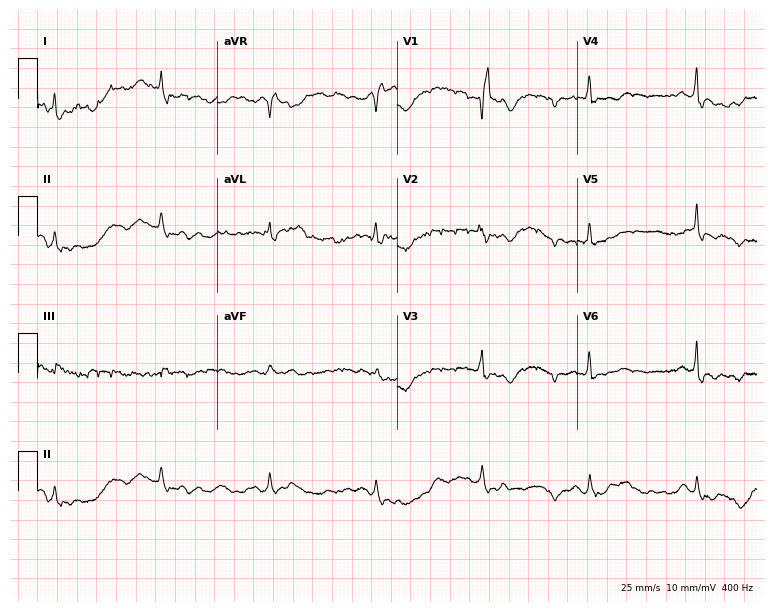
Resting 12-lead electrocardiogram. Patient: a 47-year-old female. None of these six findings is recorded: first-degree AV block, right bundle branch block, left bundle branch block, sinus bradycardia, atrial fibrillation, sinus tachycardia. Only these six findings were labelled.